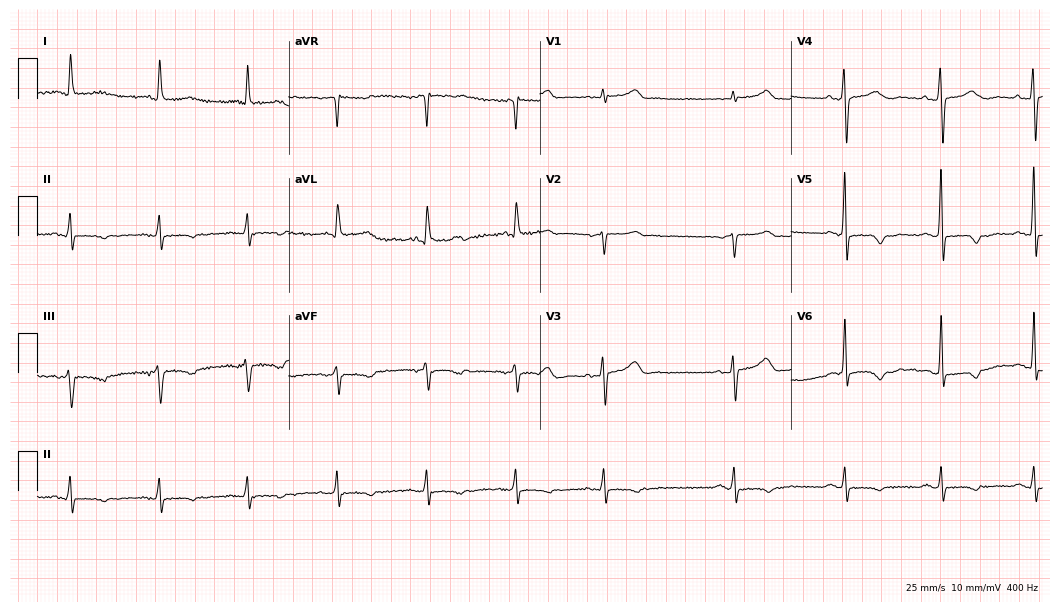
Resting 12-lead electrocardiogram. Patient: a female, 84 years old. Read as a normal ECG.